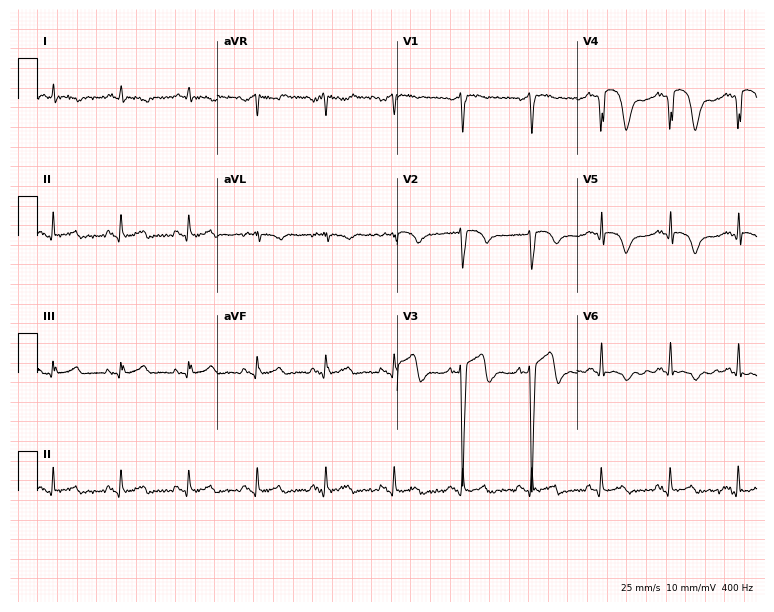
ECG — a 53-year-old male. Screened for six findings — first-degree AV block, right bundle branch block (RBBB), left bundle branch block (LBBB), sinus bradycardia, atrial fibrillation (AF), sinus tachycardia — none is recorded.